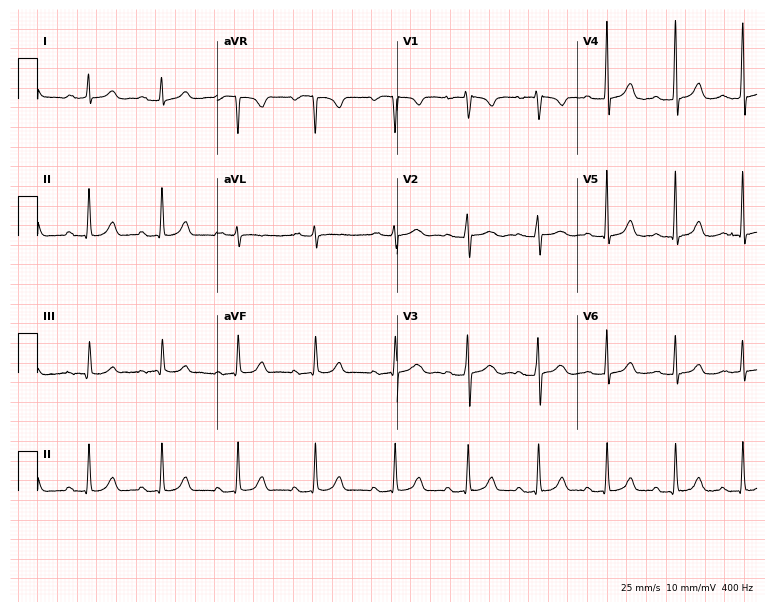
12-lead ECG from a female patient, 24 years old (7.3-second recording at 400 Hz). Recorded interpretation: within normal limits.